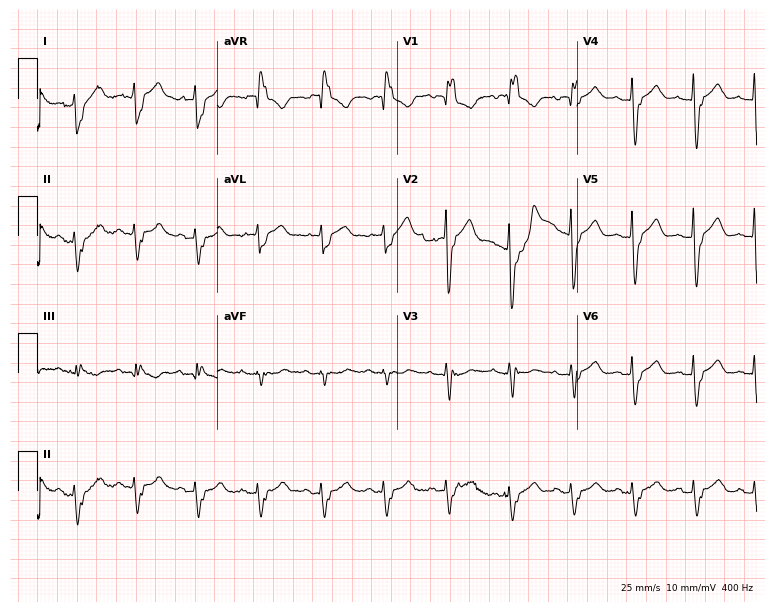
Standard 12-lead ECG recorded from a female patient, 84 years old (7.3-second recording at 400 Hz). The tracing shows right bundle branch block (RBBB).